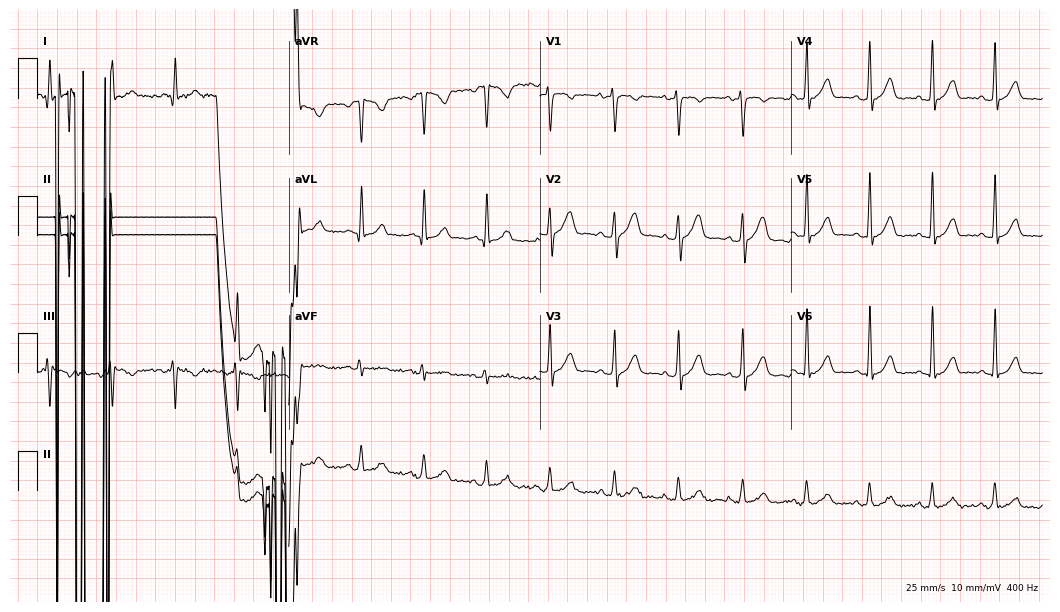
ECG (10.2-second recording at 400 Hz) — a man, 39 years old. Labelled as a normal ECG.